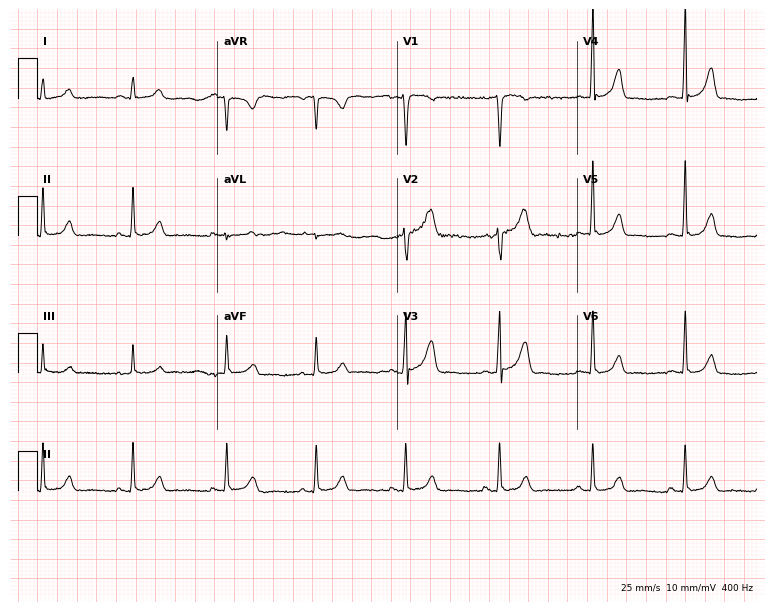
Resting 12-lead electrocardiogram (7.3-second recording at 400 Hz). Patient: a 30-year-old woman. None of these six findings is recorded: first-degree AV block, right bundle branch block (RBBB), left bundle branch block (LBBB), sinus bradycardia, atrial fibrillation (AF), sinus tachycardia. Other findings, if any, are not listed.